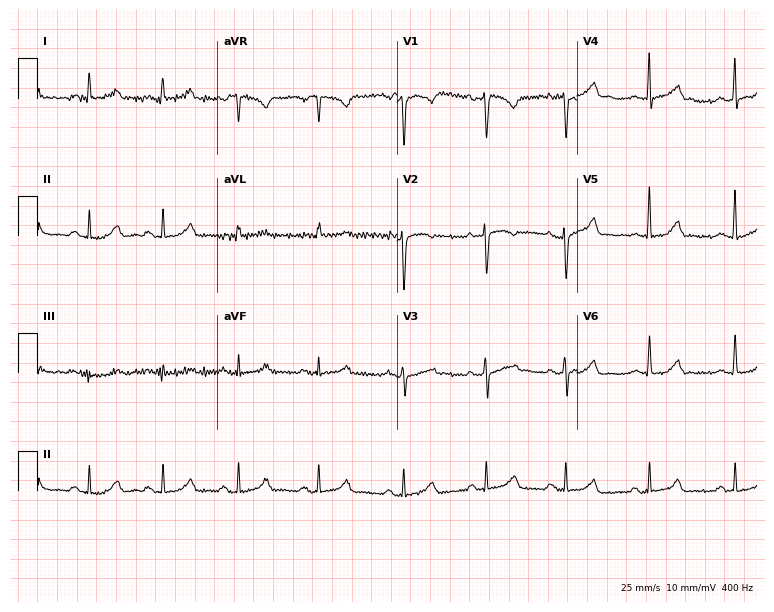
ECG — a 37-year-old female patient. Labelled as a normal ECG.